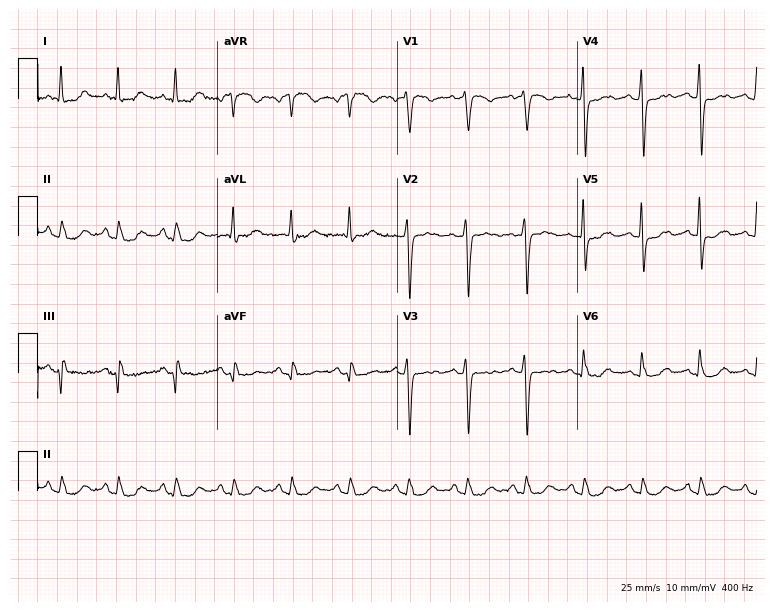
12-lead ECG from a 54-year-old female patient. Screened for six findings — first-degree AV block, right bundle branch block, left bundle branch block, sinus bradycardia, atrial fibrillation, sinus tachycardia — none is recorded. Only these six findings were labelled.